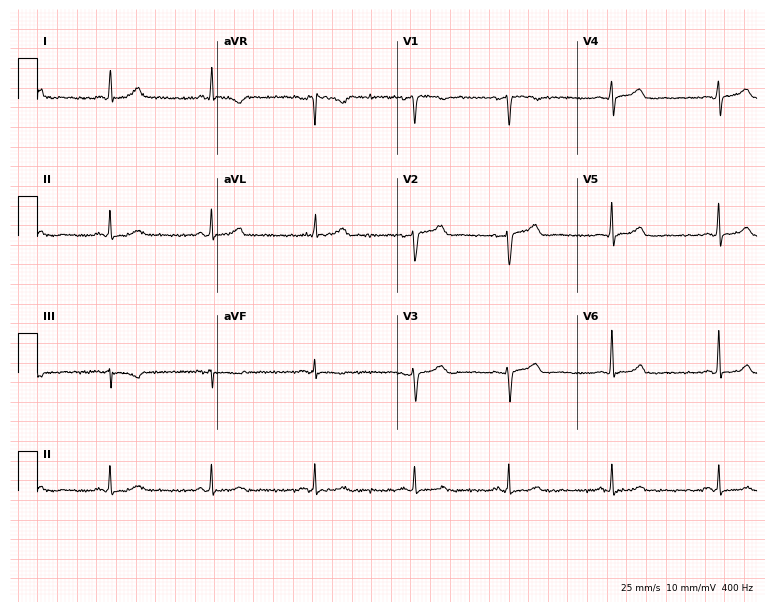
12-lead ECG (7.3-second recording at 400 Hz) from a 50-year-old woman. Screened for six findings — first-degree AV block, right bundle branch block (RBBB), left bundle branch block (LBBB), sinus bradycardia, atrial fibrillation (AF), sinus tachycardia — none is recorded. Other findings, if any, are not listed.